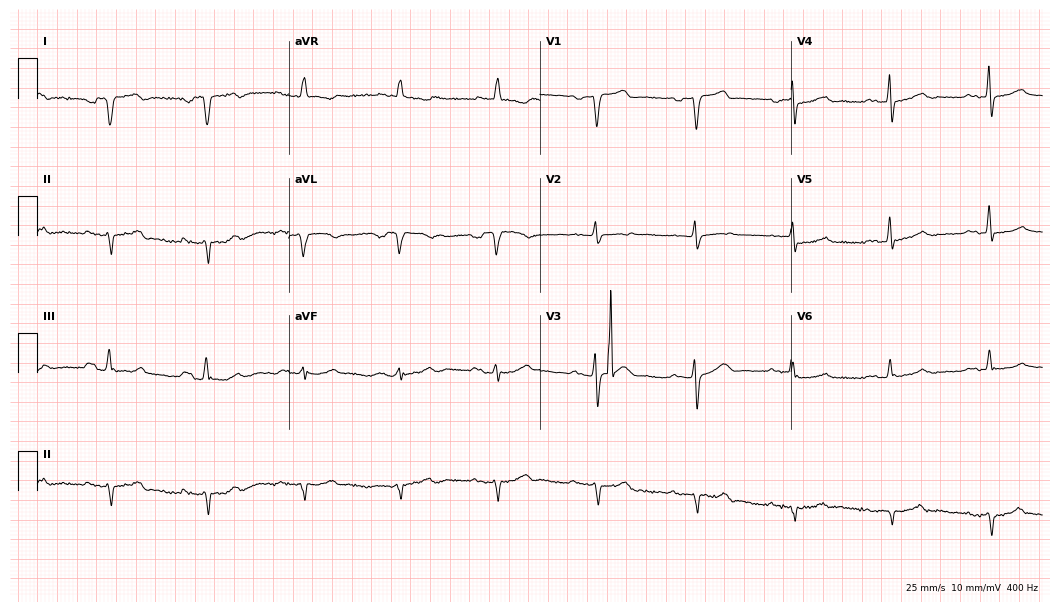
Standard 12-lead ECG recorded from an 81-year-old woman (10.2-second recording at 400 Hz). None of these six findings is recorded: first-degree AV block, right bundle branch block, left bundle branch block, sinus bradycardia, atrial fibrillation, sinus tachycardia. Other findings, if any, are not listed.